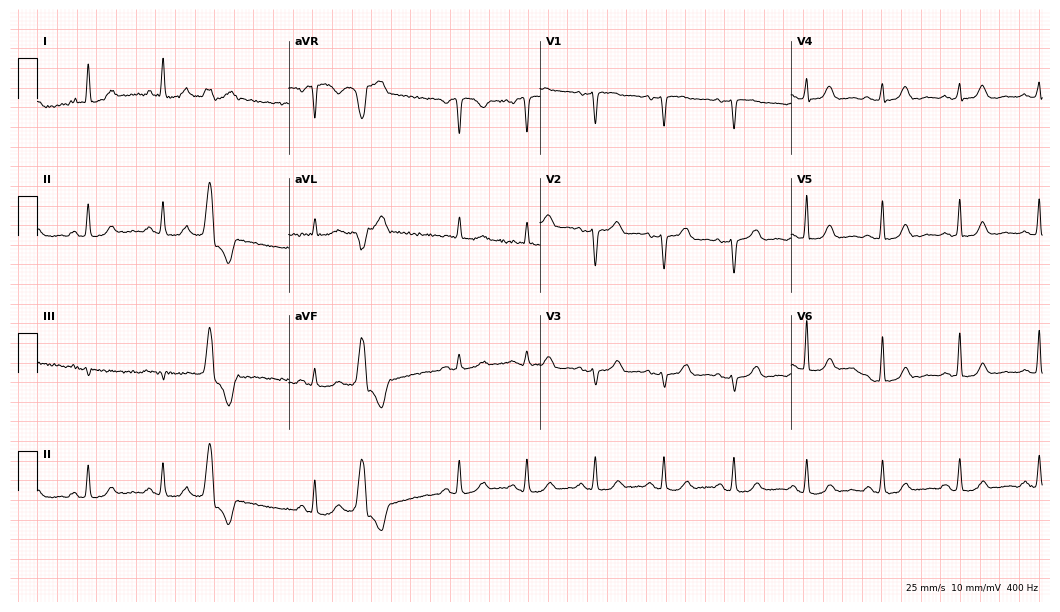
Electrocardiogram (10.2-second recording at 400 Hz), a female, 76 years old. Of the six screened findings (first-degree AV block, right bundle branch block, left bundle branch block, sinus bradycardia, atrial fibrillation, sinus tachycardia), none is recorded. Findings outside these six are not listed.